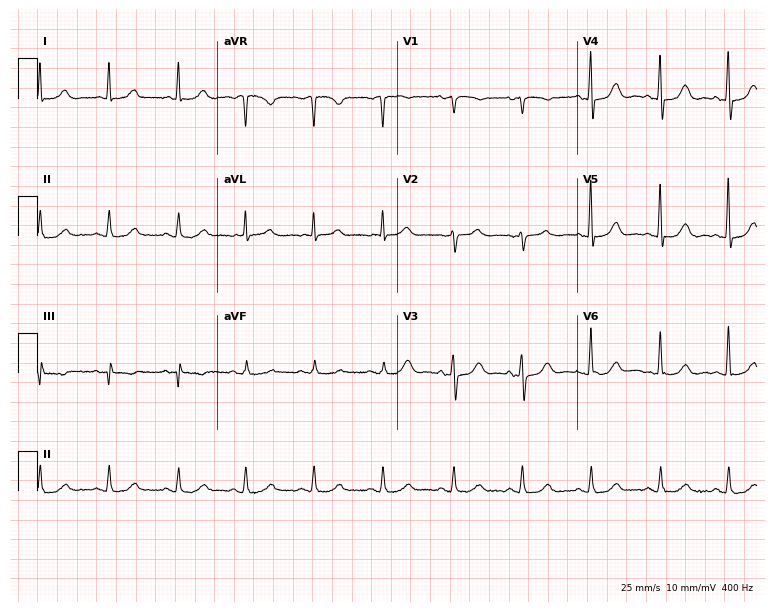
Standard 12-lead ECG recorded from a female, 79 years old. Read as a normal ECG.